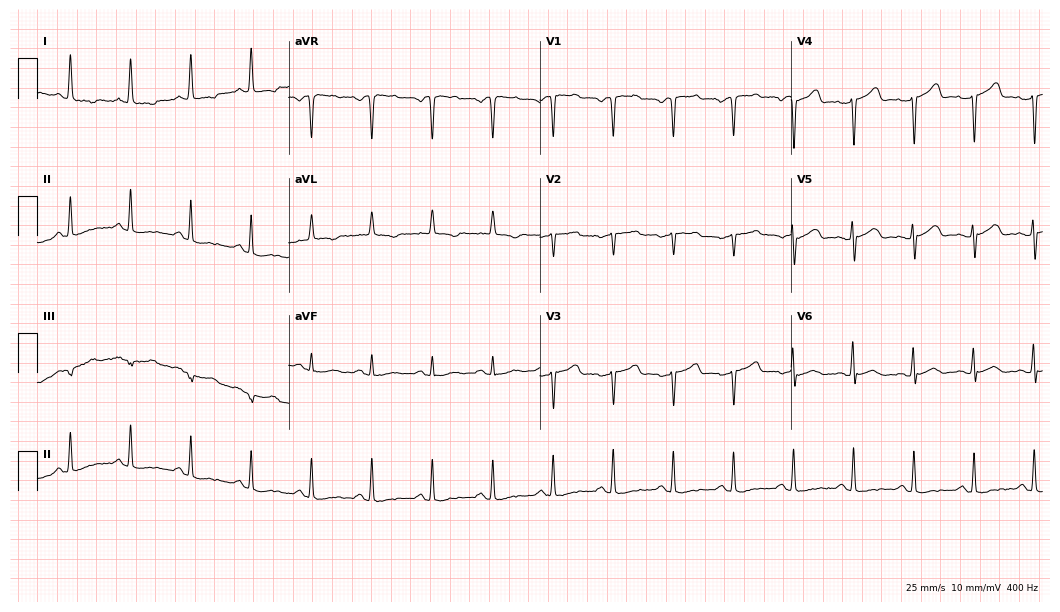
Resting 12-lead electrocardiogram. Patient: a 70-year-old female. None of these six findings is recorded: first-degree AV block, right bundle branch block (RBBB), left bundle branch block (LBBB), sinus bradycardia, atrial fibrillation (AF), sinus tachycardia. Only these six findings were labelled.